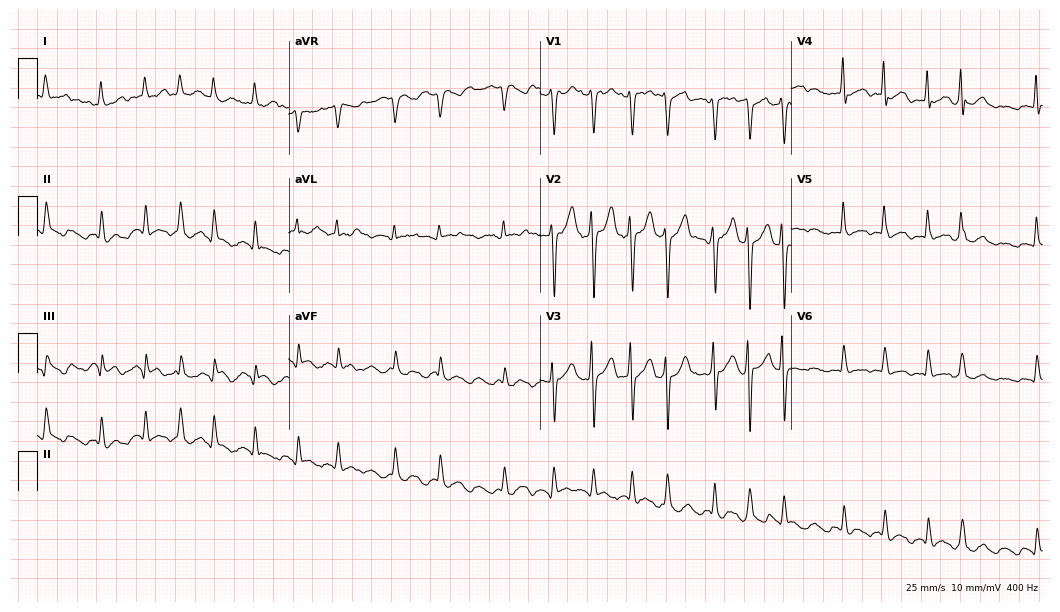
Standard 12-lead ECG recorded from a 53-year-old man. The tracing shows atrial fibrillation (AF).